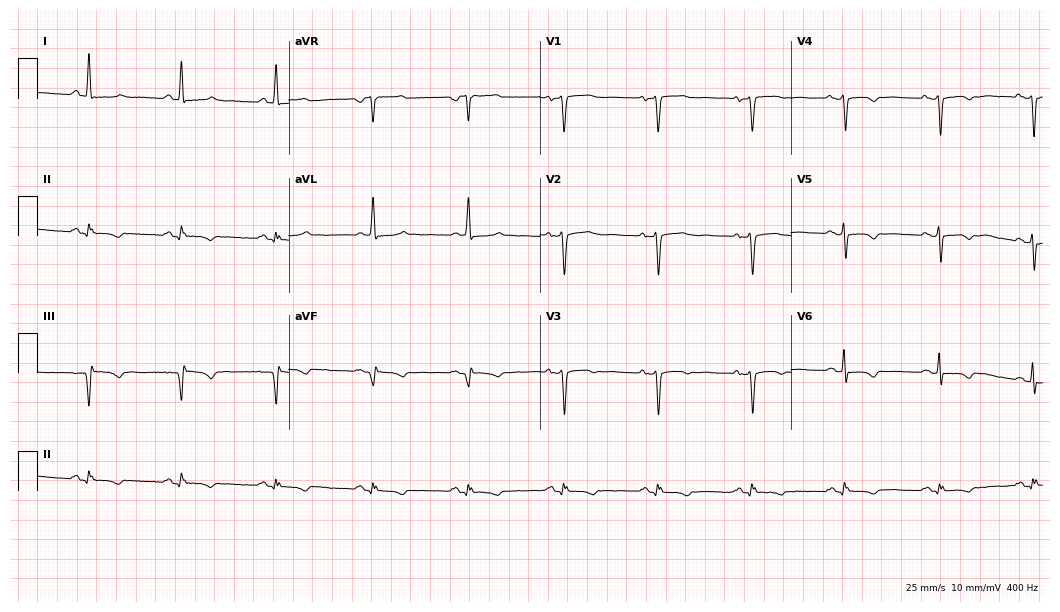
Resting 12-lead electrocardiogram. Patient: a 57-year-old male. None of these six findings is recorded: first-degree AV block, right bundle branch block, left bundle branch block, sinus bradycardia, atrial fibrillation, sinus tachycardia. Other findings, if any, are not listed.